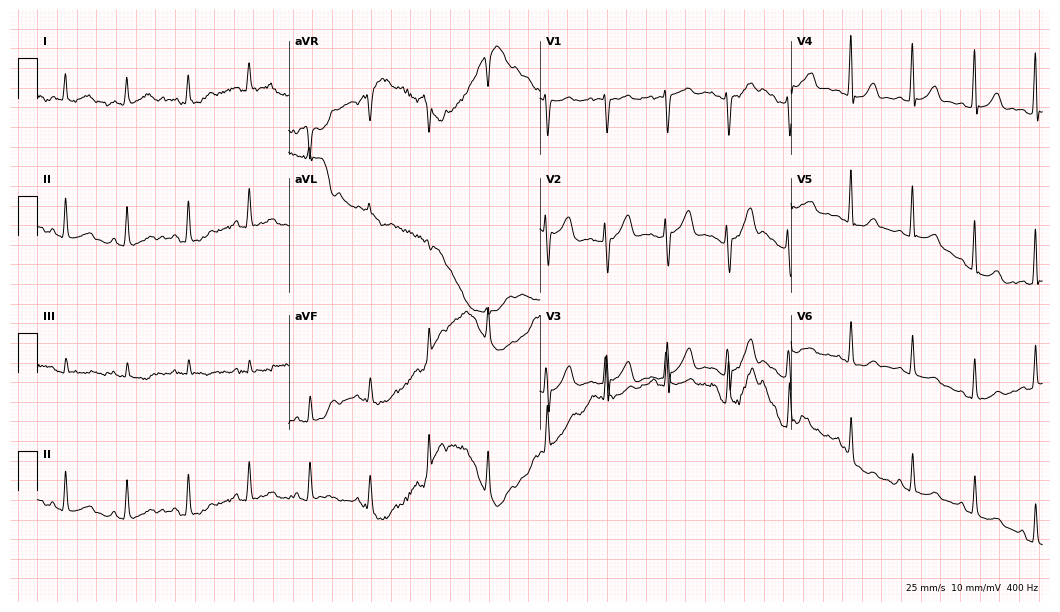
ECG (10.2-second recording at 400 Hz) — a female, 52 years old. Screened for six findings — first-degree AV block, right bundle branch block, left bundle branch block, sinus bradycardia, atrial fibrillation, sinus tachycardia — none is recorded.